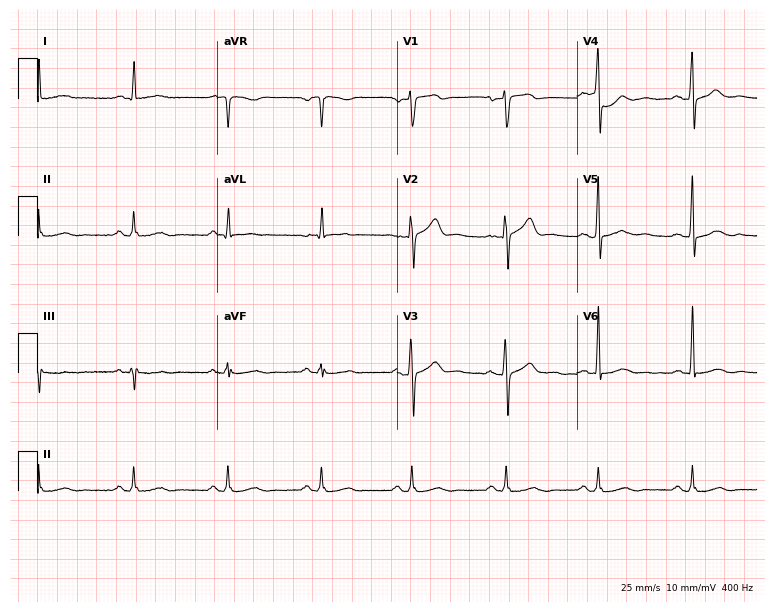
12-lead ECG (7.3-second recording at 400 Hz) from a man, 56 years old. Screened for six findings — first-degree AV block, right bundle branch block (RBBB), left bundle branch block (LBBB), sinus bradycardia, atrial fibrillation (AF), sinus tachycardia — none is recorded. Only these six findings were labelled.